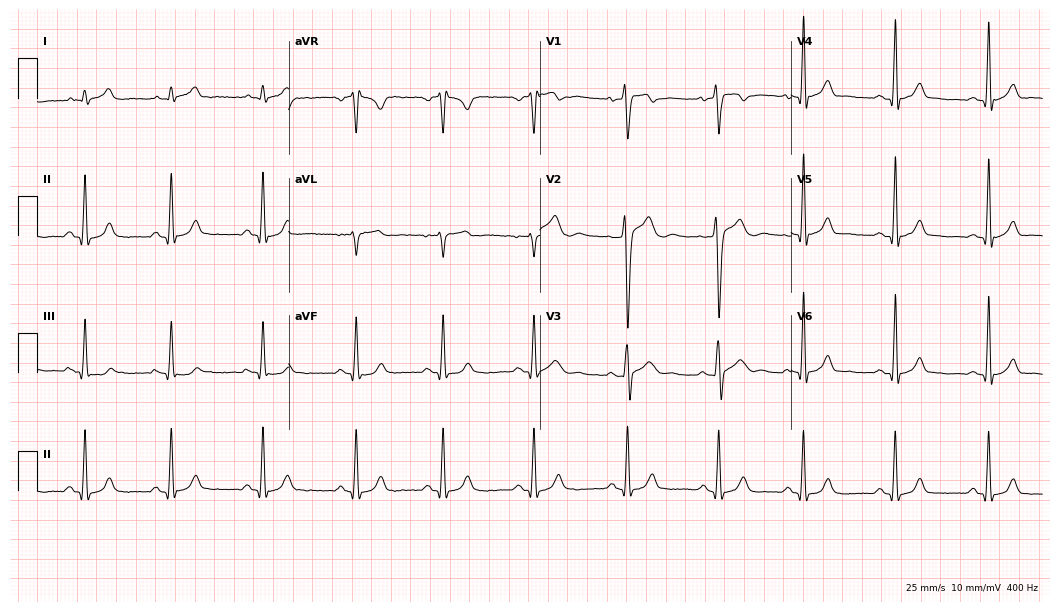
Electrocardiogram (10.2-second recording at 400 Hz), a male, 21 years old. Of the six screened findings (first-degree AV block, right bundle branch block (RBBB), left bundle branch block (LBBB), sinus bradycardia, atrial fibrillation (AF), sinus tachycardia), none is recorded.